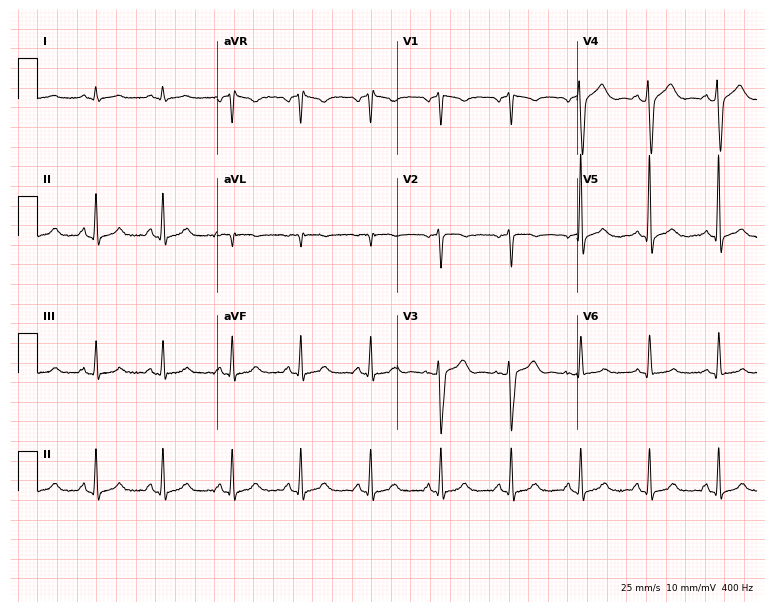
12-lead ECG from a male, 34 years old. Labelled as a normal ECG.